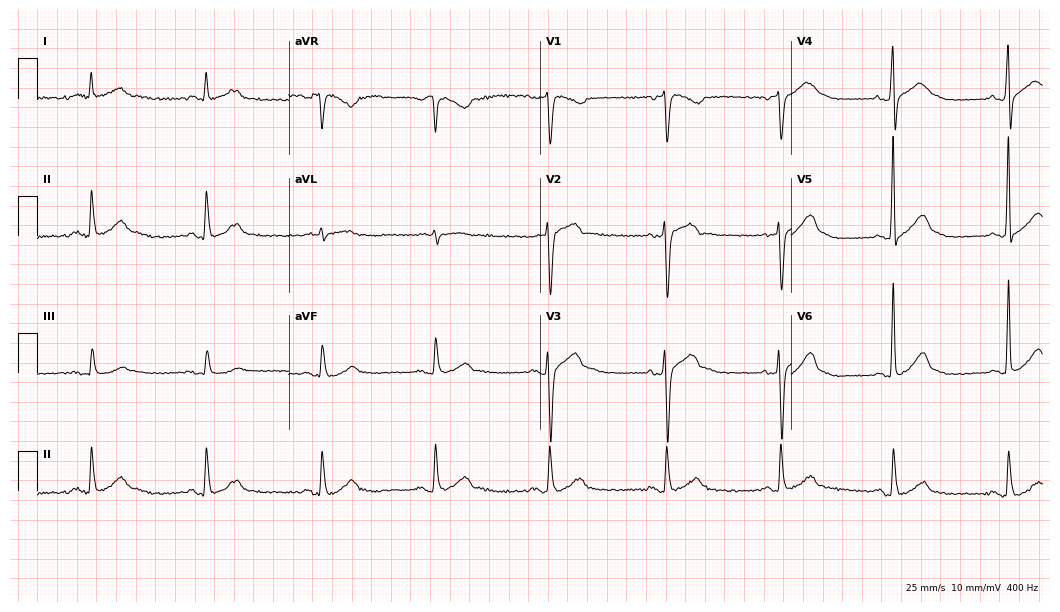
Standard 12-lead ECG recorded from a 52-year-old male (10.2-second recording at 400 Hz). None of these six findings is recorded: first-degree AV block, right bundle branch block, left bundle branch block, sinus bradycardia, atrial fibrillation, sinus tachycardia. Other findings, if any, are not listed.